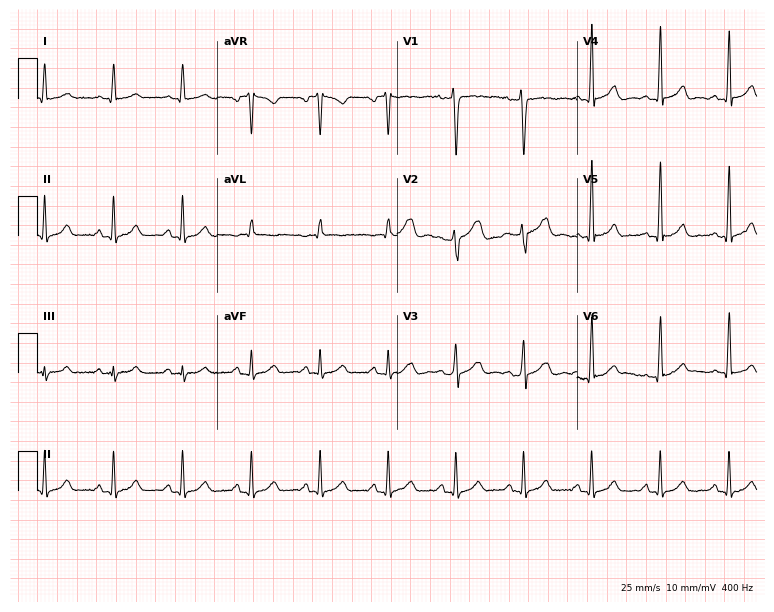
12-lead ECG from a 29-year-old male patient. No first-degree AV block, right bundle branch block, left bundle branch block, sinus bradycardia, atrial fibrillation or sinus tachycardia recorded for this tracing.